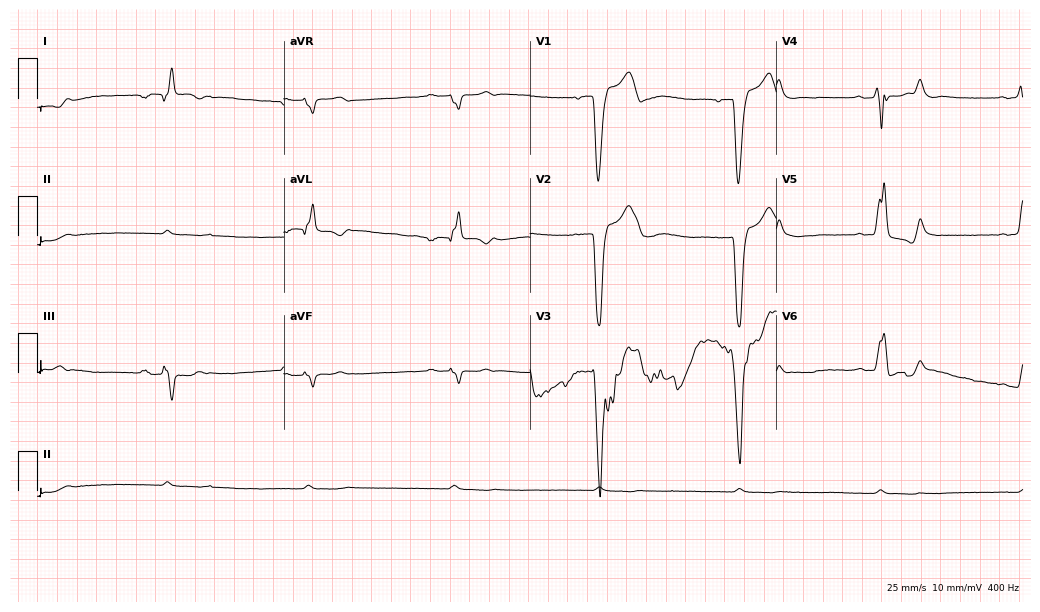
Standard 12-lead ECG recorded from an 81-year-old man (10-second recording at 400 Hz). None of these six findings is recorded: first-degree AV block, right bundle branch block, left bundle branch block, sinus bradycardia, atrial fibrillation, sinus tachycardia.